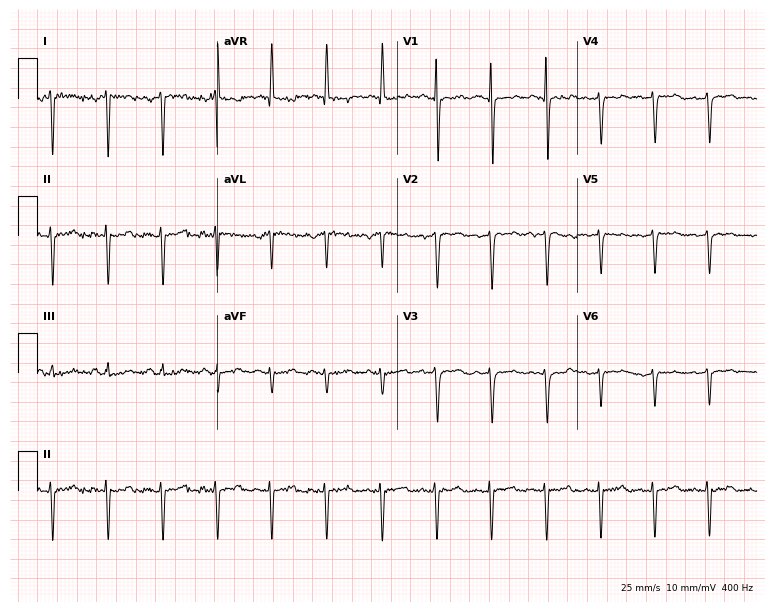
Standard 12-lead ECG recorded from a male, 29 years old (7.3-second recording at 400 Hz). None of these six findings is recorded: first-degree AV block, right bundle branch block (RBBB), left bundle branch block (LBBB), sinus bradycardia, atrial fibrillation (AF), sinus tachycardia.